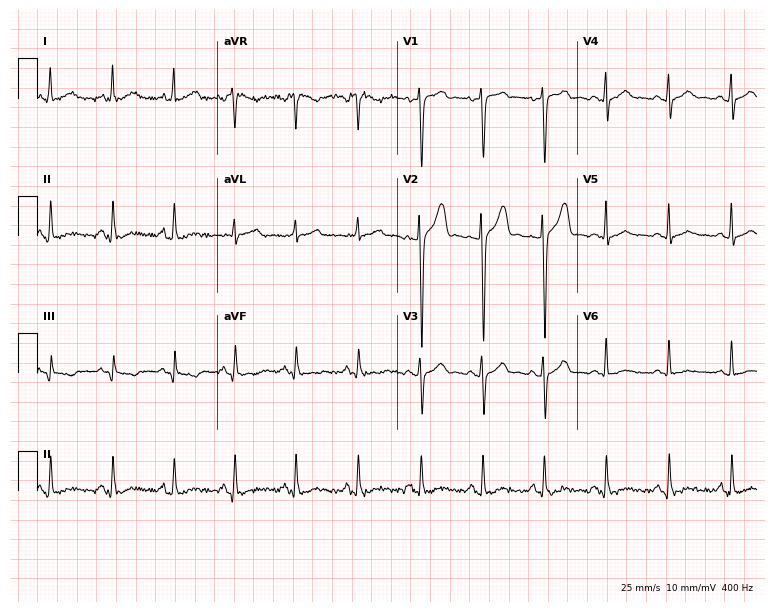
12-lead ECG from a 33-year-old female patient (7.3-second recording at 400 Hz). Recorded interpretation: within normal limits.